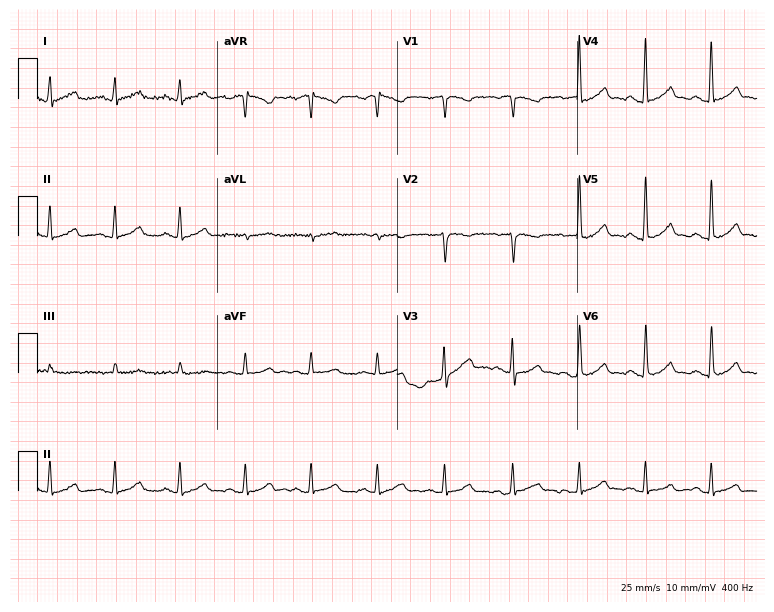
Resting 12-lead electrocardiogram (7.3-second recording at 400 Hz). Patient: a female, 60 years old. Read as a normal ECG.